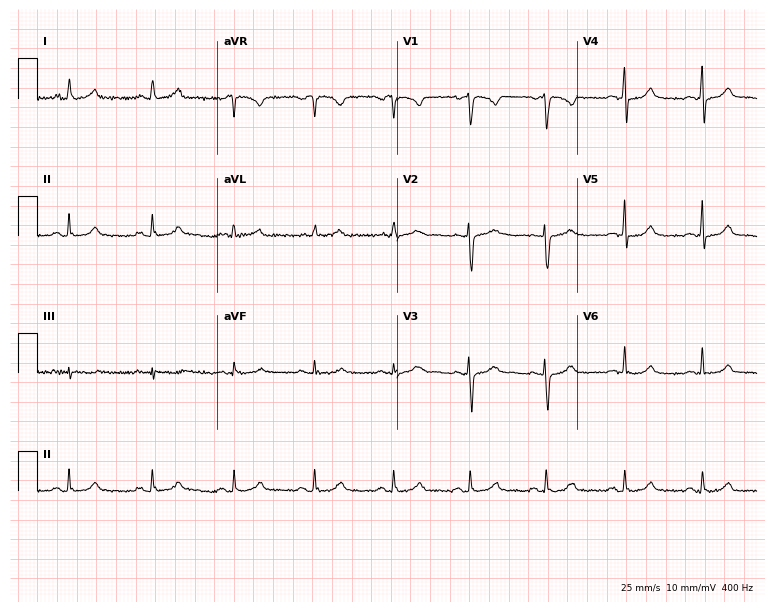
12-lead ECG from a female patient, 45 years old. Recorded interpretation: within normal limits.